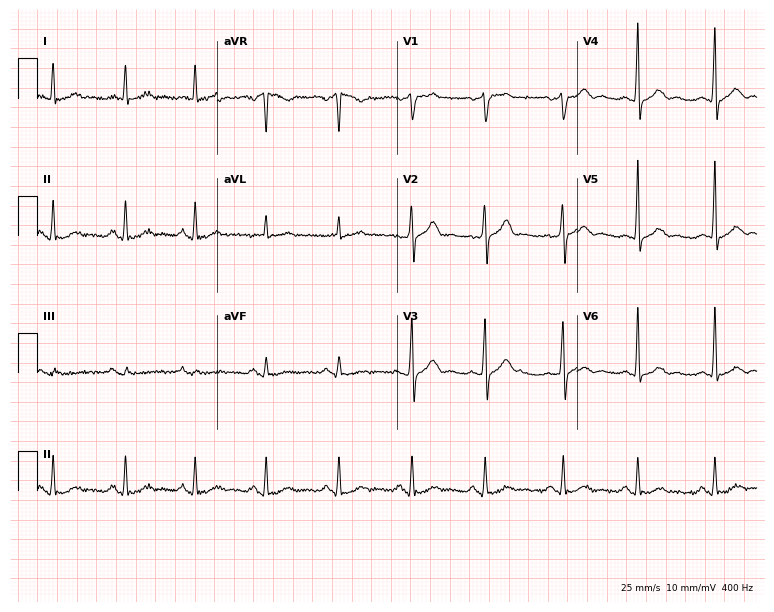
Resting 12-lead electrocardiogram (7.3-second recording at 400 Hz). Patient: a male, 46 years old. Read as a normal ECG.